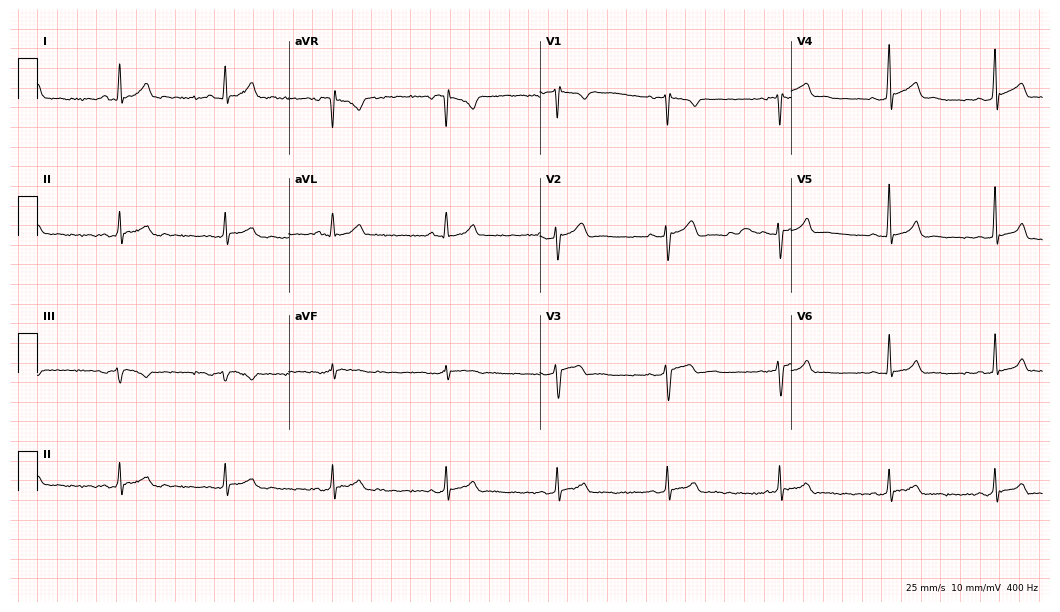
ECG (10.2-second recording at 400 Hz) — a 29-year-old male. Labelled as a normal ECG.